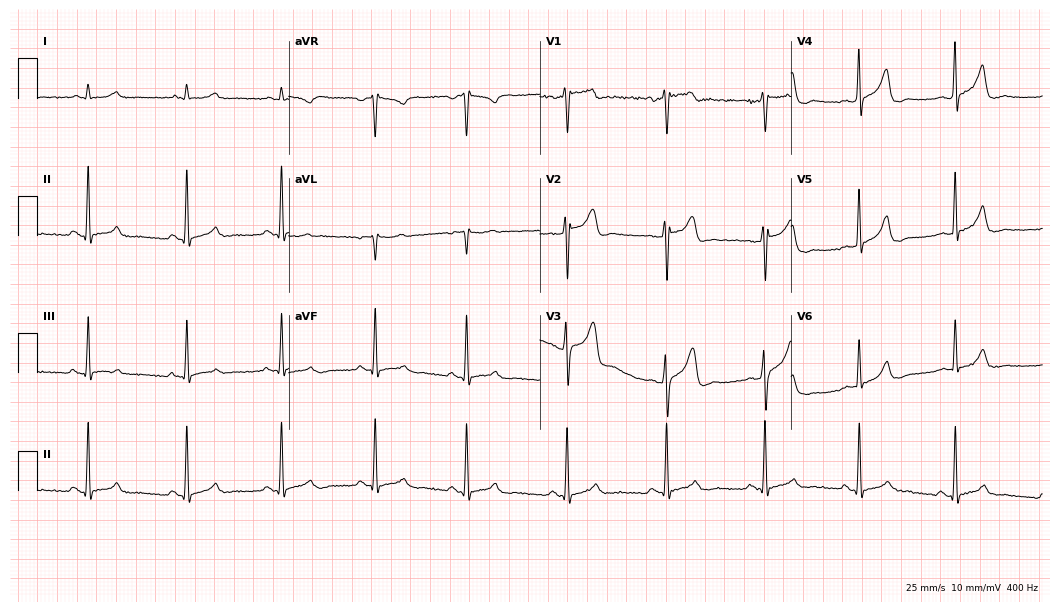
ECG (10.2-second recording at 400 Hz) — a 64-year-old man. Screened for six findings — first-degree AV block, right bundle branch block, left bundle branch block, sinus bradycardia, atrial fibrillation, sinus tachycardia — none is recorded.